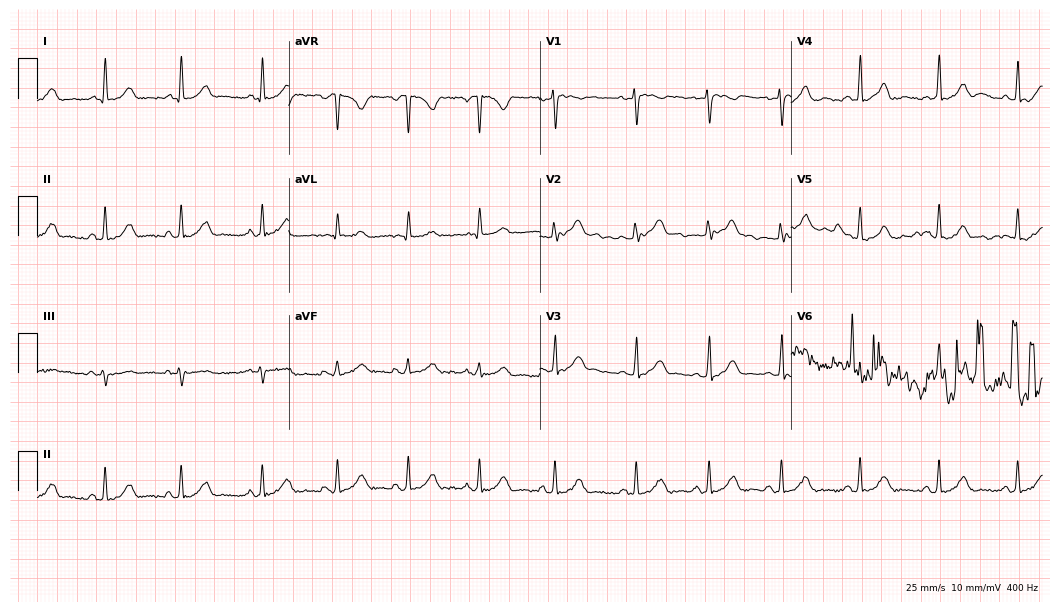
12-lead ECG from a 36-year-old female patient (10.2-second recording at 400 Hz). Recorded interpretation: within normal limits.